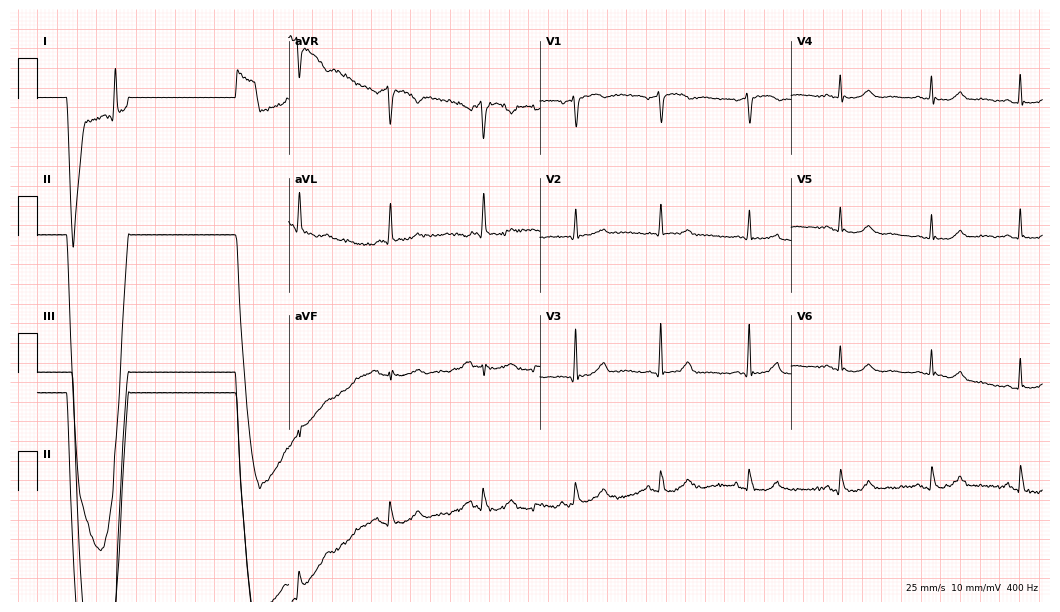
Standard 12-lead ECG recorded from a 56-year-old female (10.2-second recording at 400 Hz). None of these six findings is recorded: first-degree AV block, right bundle branch block (RBBB), left bundle branch block (LBBB), sinus bradycardia, atrial fibrillation (AF), sinus tachycardia. Only these six findings were labelled.